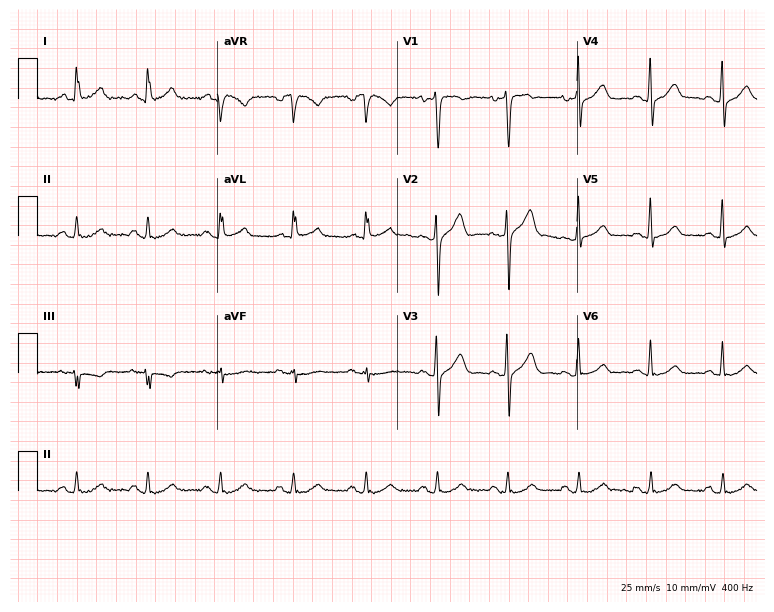
ECG (7.3-second recording at 400 Hz) — a male, 44 years old. Labelled as a normal ECG.